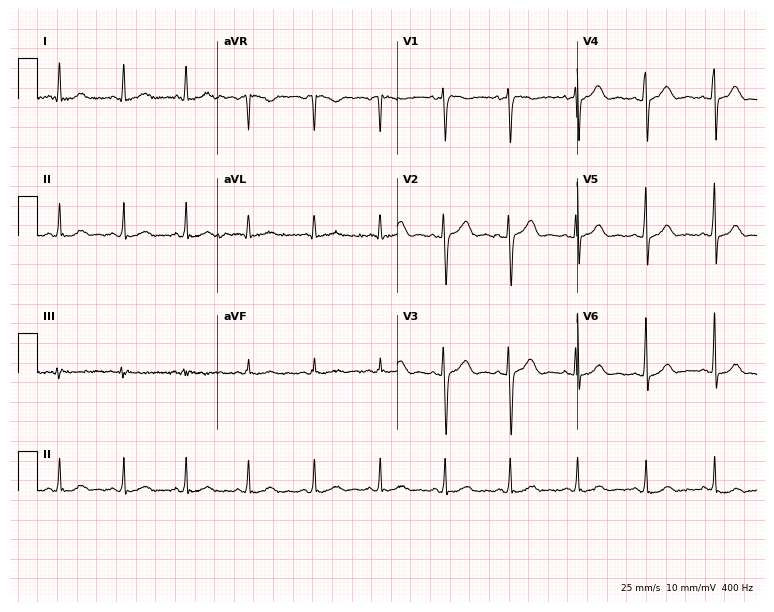
Standard 12-lead ECG recorded from a female, 28 years old (7.3-second recording at 400 Hz). Read as a normal ECG.